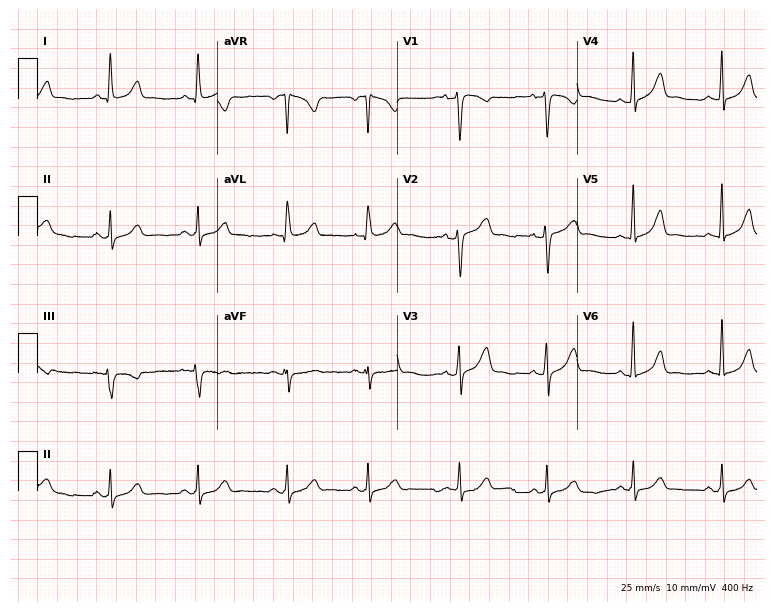
12-lead ECG from a woman, 33 years old (7.3-second recording at 400 Hz). No first-degree AV block, right bundle branch block (RBBB), left bundle branch block (LBBB), sinus bradycardia, atrial fibrillation (AF) or sinus tachycardia recorded for this tracing.